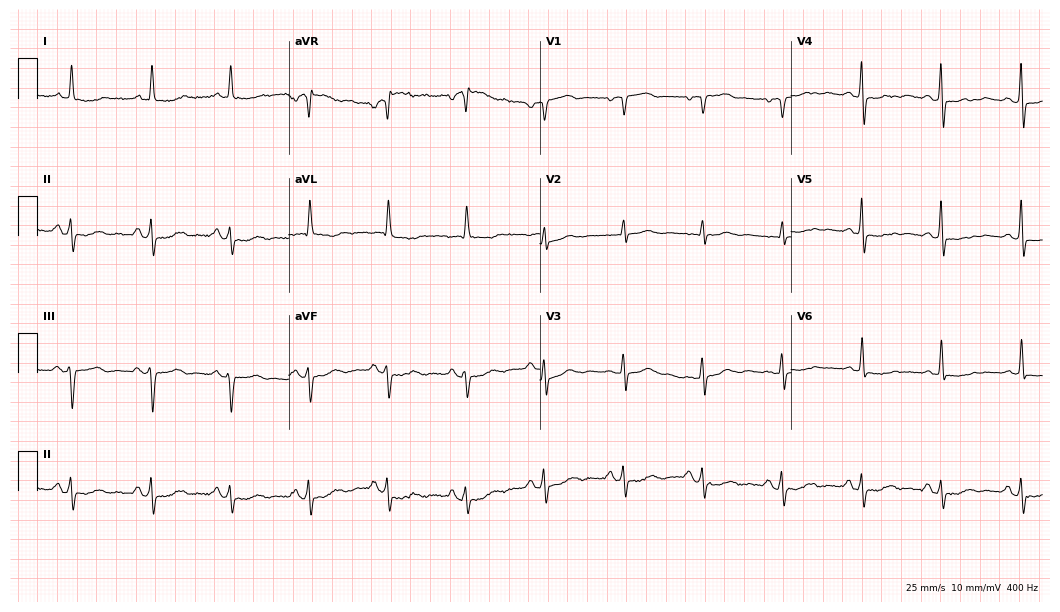
ECG — a female patient, 62 years old. Screened for six findings — first-degree AV block, right bundle branch block, left bundle branch block, sinus bradycardia, atrial fibrillation, sinus tachycardia — none is recorded. Findings outside these six are not listed.